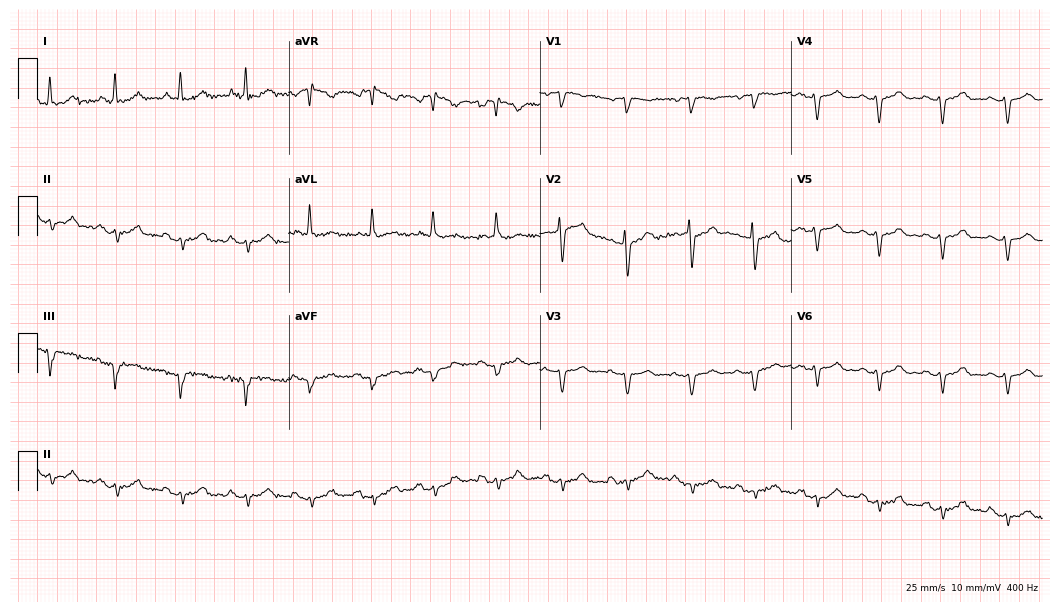
Resting 12-lead electrocardiogram. Patient: a 61-year-old female. None of these six findings is recorded: first-degree AV block, right bundle branch block (RBBB), left bundle branch block (LBBB), sinus bradycardia, atrial fibrillation (AF), sinus tachycardia.